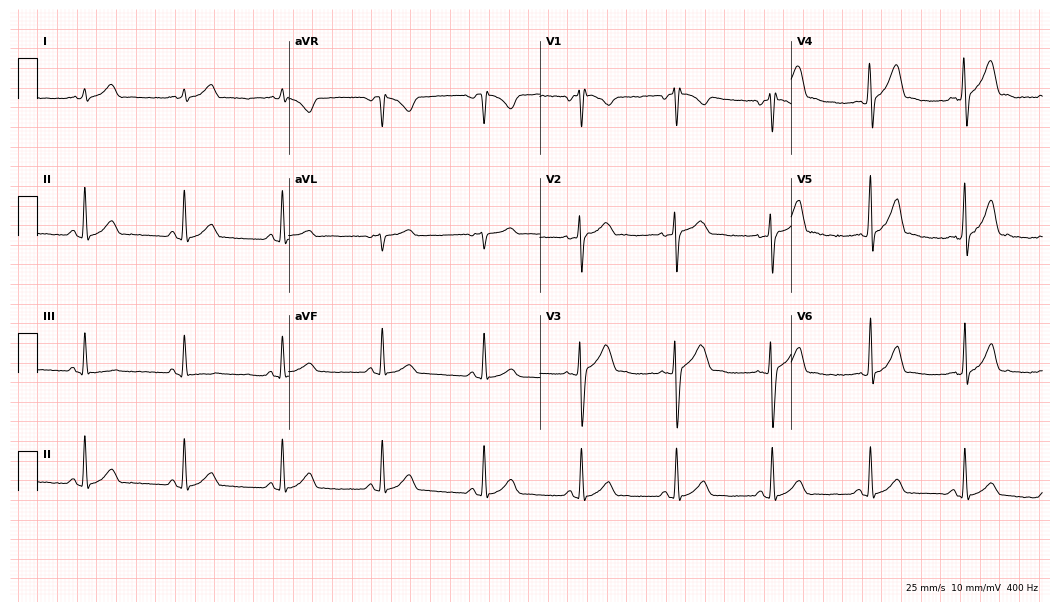
Electrocardiogram (10.2-second recording at 400 Hz), a 23-year-old male patient. Overall reading on record: normal ECG.